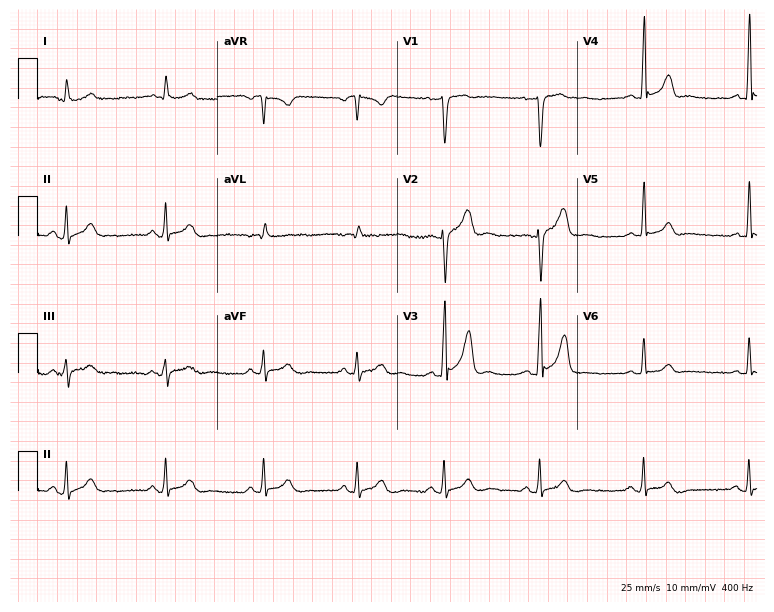
12-lead ECG (7.3-second recording at 400 Hz) from a 26-year-old male. Labelled as a normal ECG.